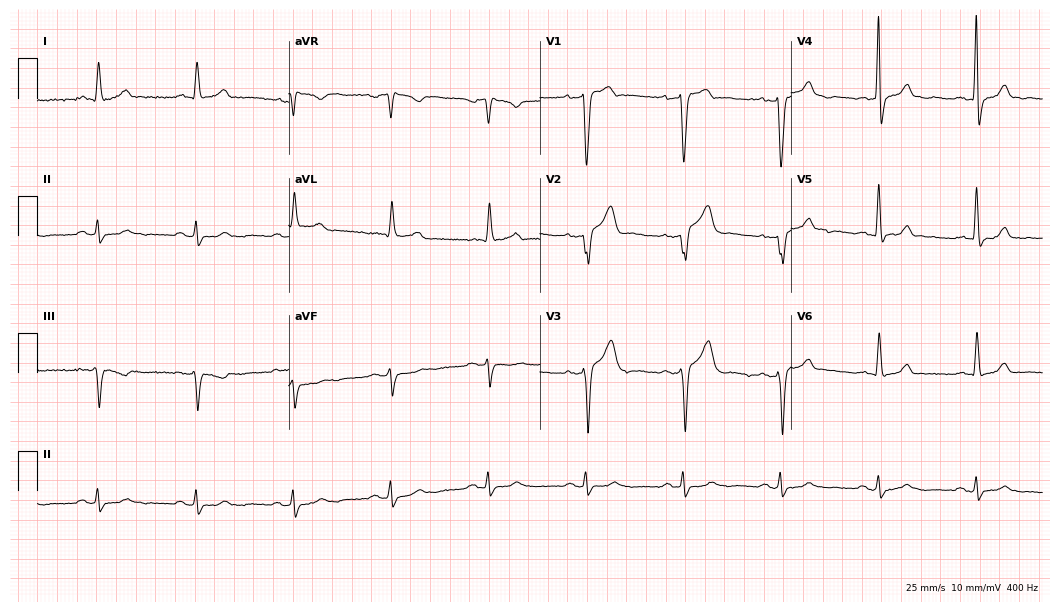
Electrocardiogram (10.2-second recording at 400 Hz), a 73-year-old male. Of the six screened findings (first-degree AV block, right bundle branch block, left bundle branch block, sinus bradycardia, atrial fibrillation, sinus tachycardia), none is recorded.